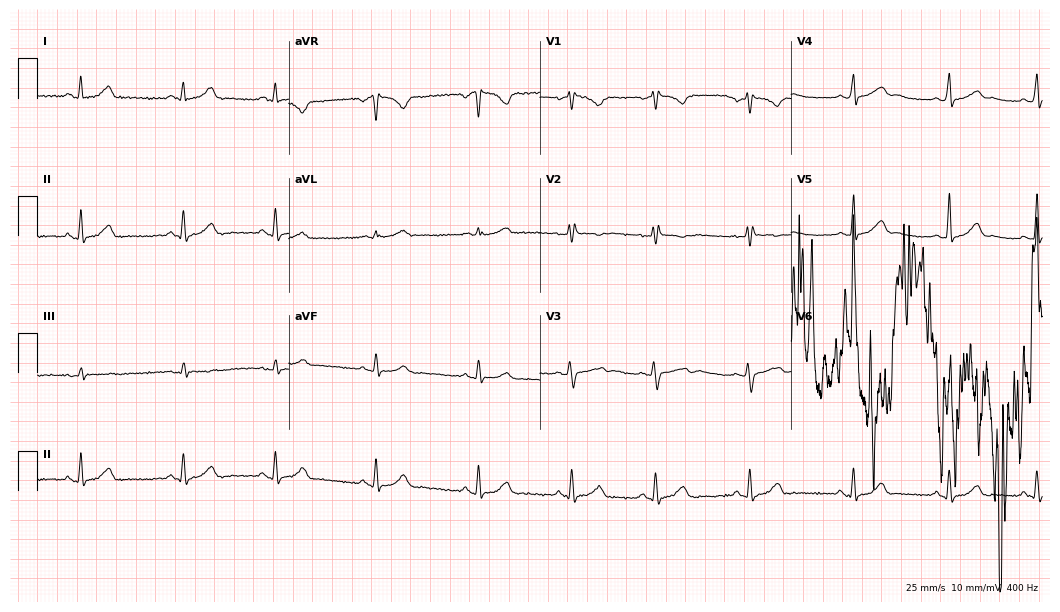
12-lead ECG from a female patient, 24 years old. No first-degree AV block, right bundle branch block, left bundle branch block, sinus bradycardia, atrial fibrillation or sinus tachycardia recorded for this tracing. Only these six findings were labelled.